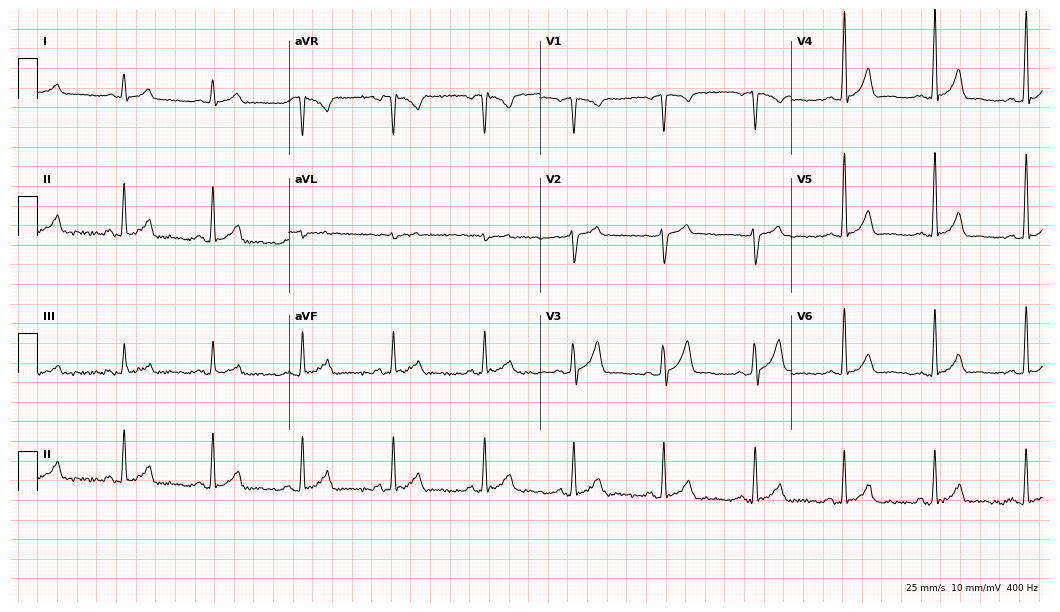
12-lead ECG (10.2-second recording at 400 Hz) from a 48-year-old male. Labelled as a normal ECG.